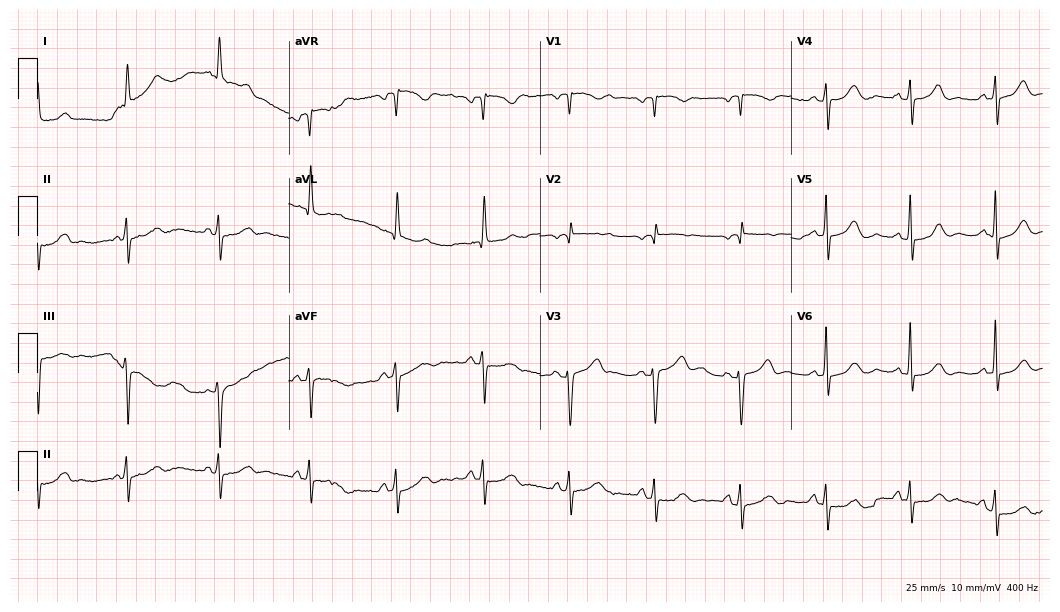
12-lead ECG (10.2-second recording at 400 Hz) from a female patient, 85 years old. Screened for six findings — first-degree AV block, right bundle branch block, left bundle branch block, sinus bradycardia, atrial fibrillation, sinus tachycardia — none is recorded.